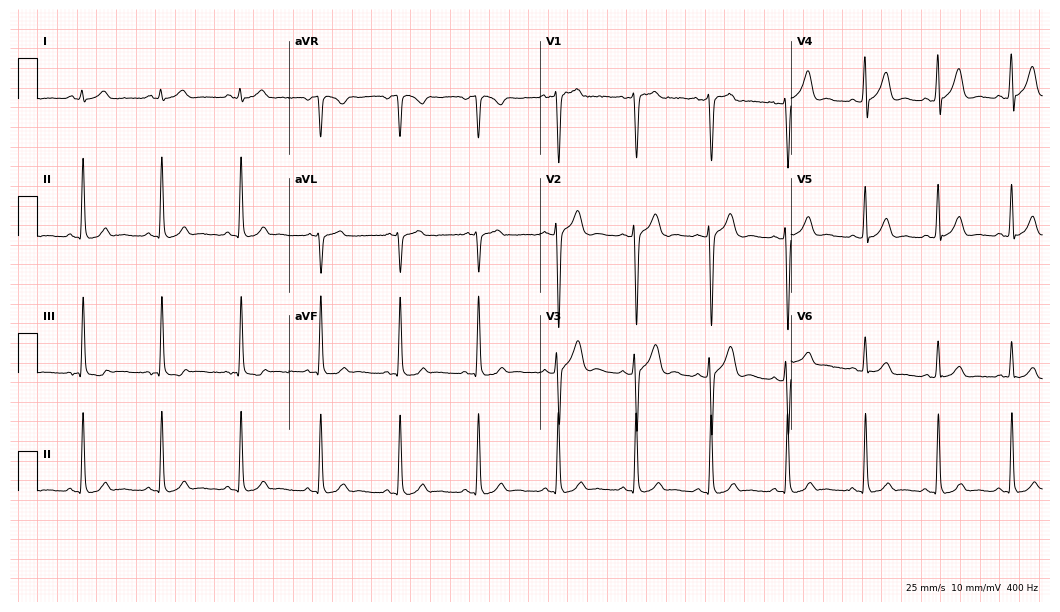
Electrocardiogram (10.2-second recording at 400 Hz), a 22-year-old man. Overall reading on record: normal ECG.